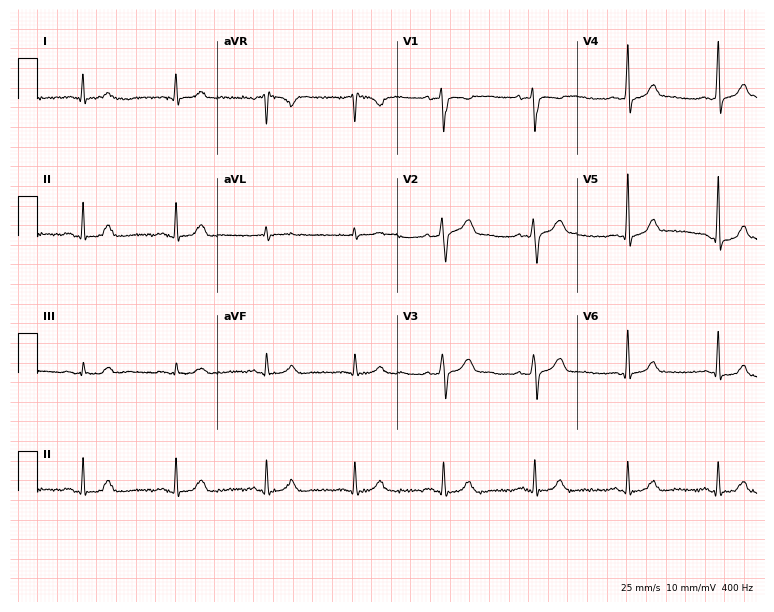
Resting 12-lead electrocardiogram (7.3-second recording at 400 Hz). Patient: a male, 45 years old. Read as a normal ECG.